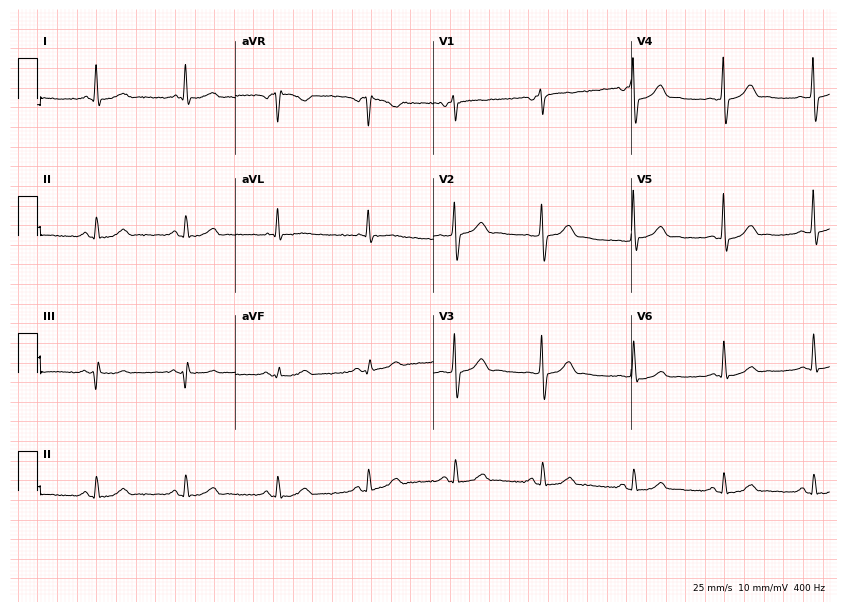
ECG — a 69-year-old man. Labelled as a normal ECG.